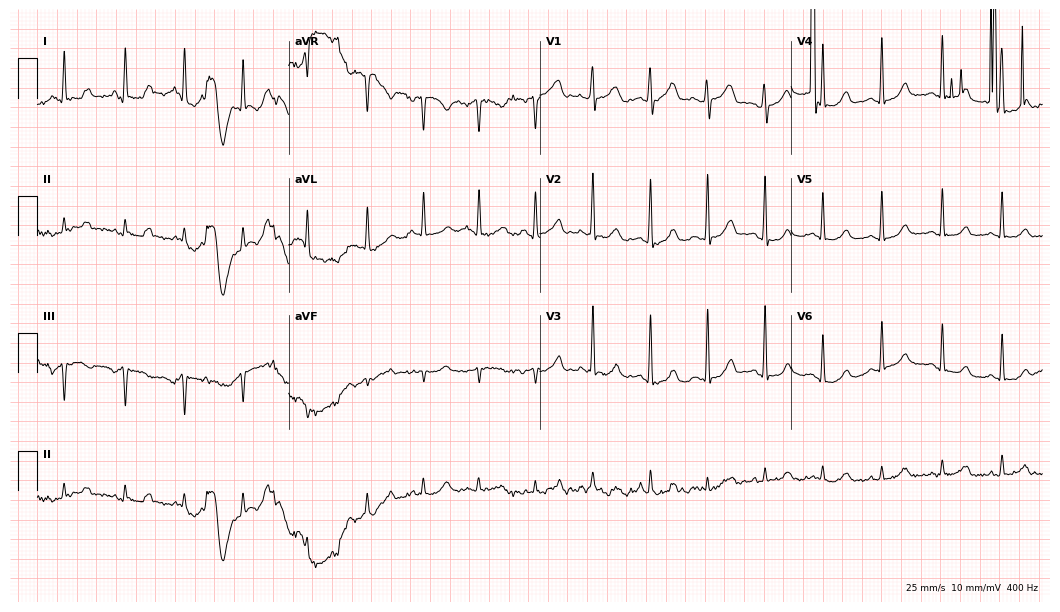
12-lead ECG from a 44-year-old female. Screened for six findings — first-degree AV block, right bundle branch block, left bundle branch block, sinus bradycardia, atrial fibrillation, sinus tachycardia — none is recorded. Only these six findings were labelled.